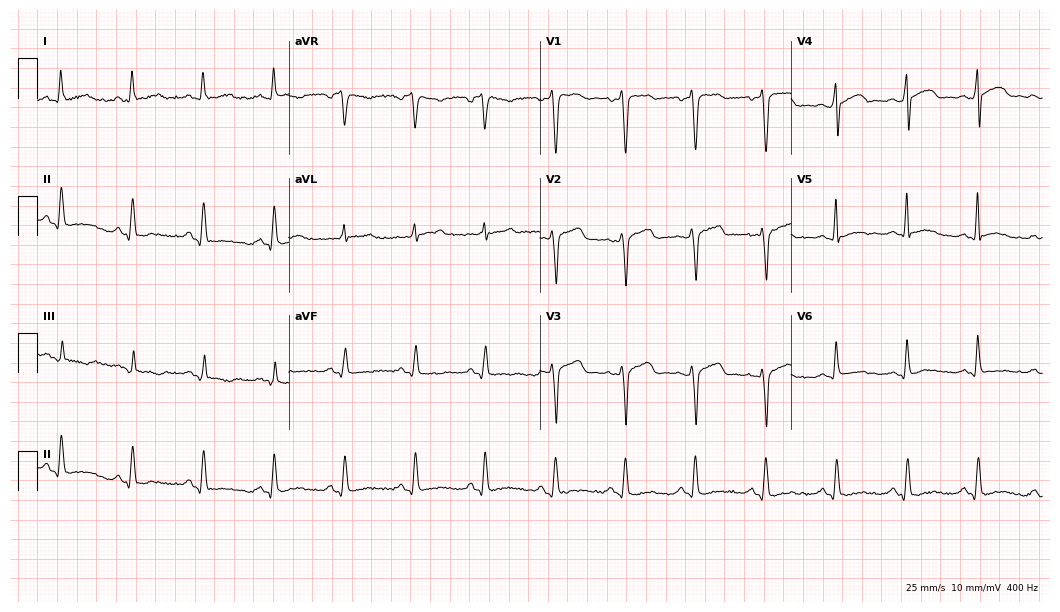
Resting 12-lead electrocardiogram (10.2-second recording at 400 Hz). Patient: a 38-year-old woman. None of these six findings is recorded: first-degree AV block, right bundle branch block, left bundle branch block, sinus bradycardia, atrial fibrillation, sinus tachycardia. Findings outside these six are not listed.